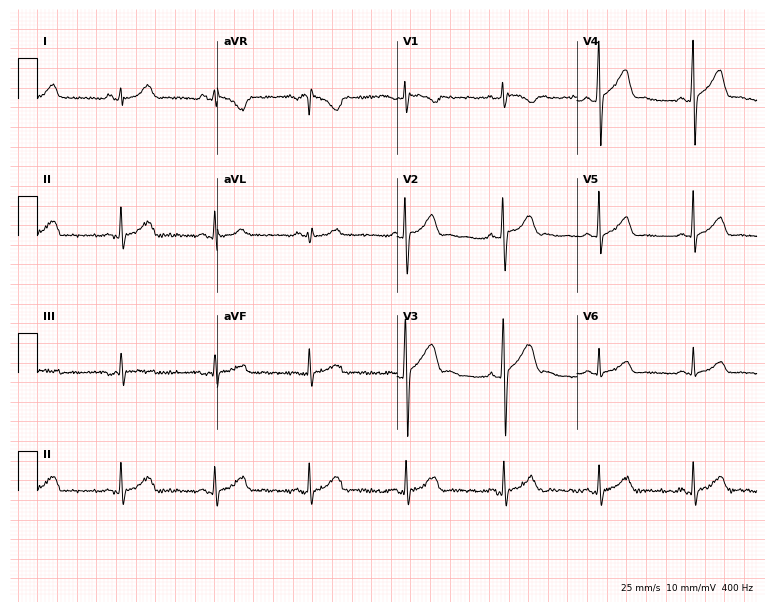
12-lead ECG from a 22-year-old male. Recorded interpretation: within normal limits.